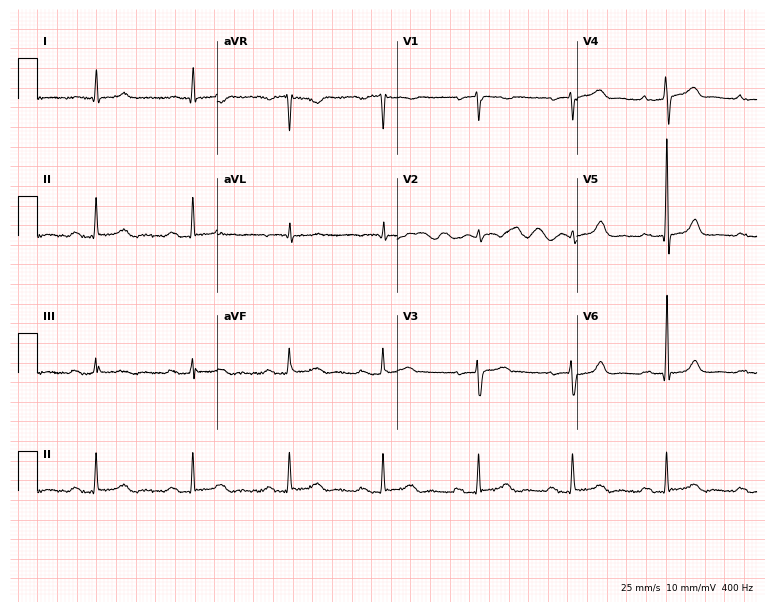
12-lead ECG from a 78-year-old male. Recorded interpretation: within normal limits.